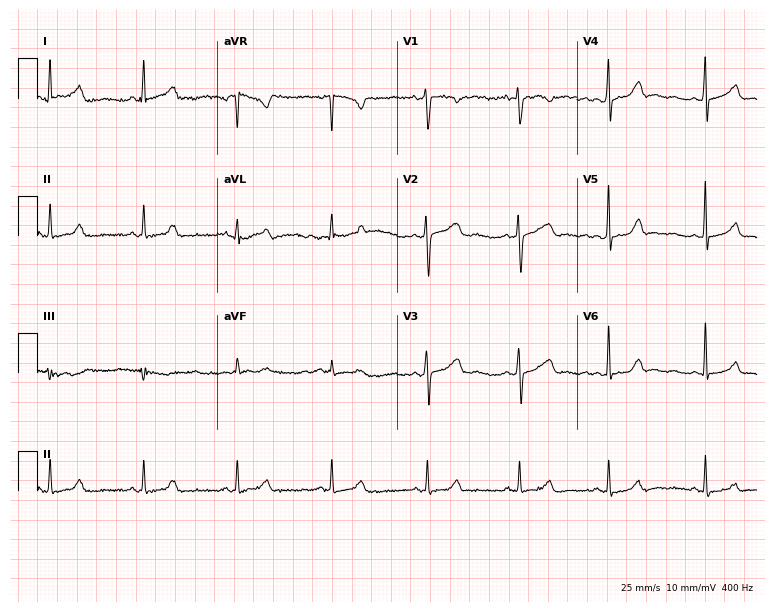
ECG — a female, 31 years old. Labelled as a normal ECG.